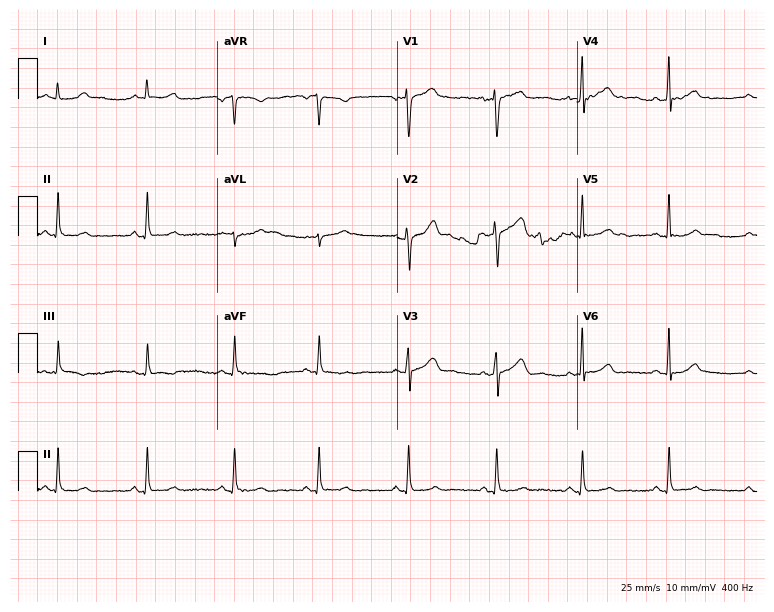
12-lead ECG from a 41-year-old male patient. Screened for six findings — first-degree AV block, right bundle branch block, left bundle branch block, sinus bradycardia, atrial fibrillation, sinus tachycardia — none is recorded.